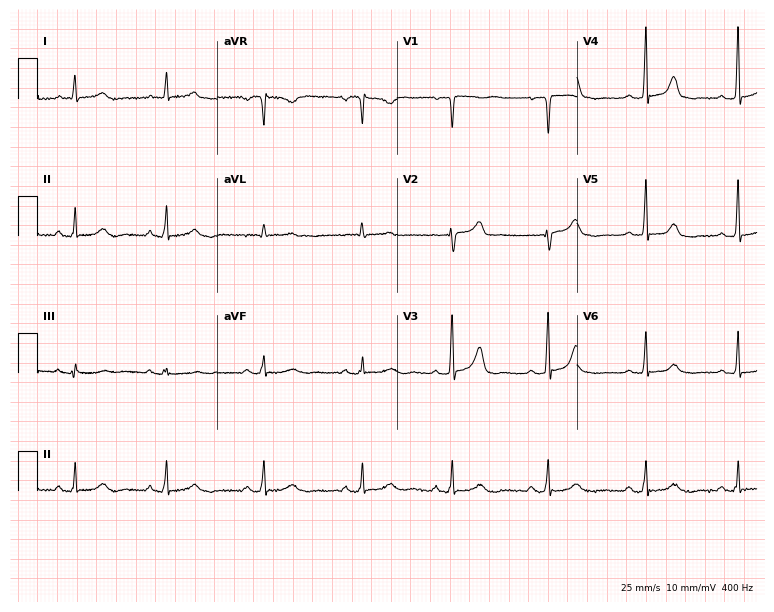
Electrocardiogram (7.3-second recording at 400 Hz), a 58-year-old female. Overall reading on record: normal ECG.